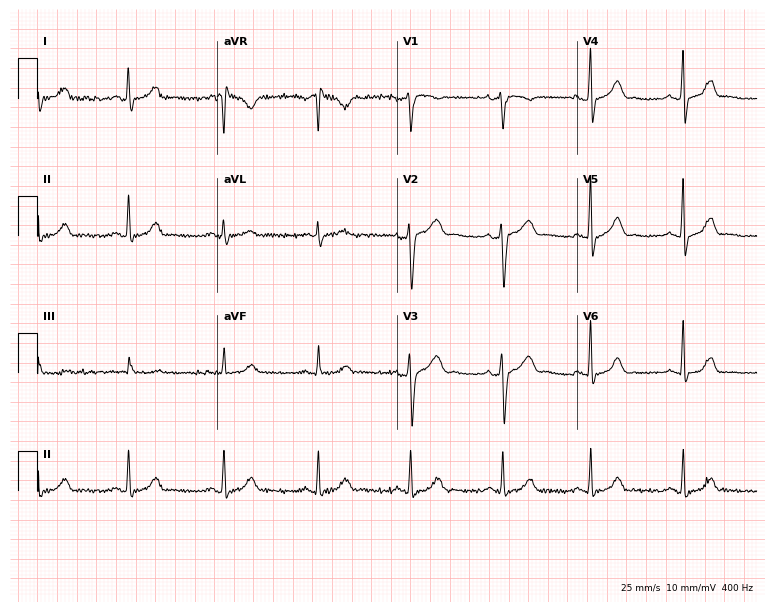
ECG (7.3-second recording at 400 Hz) — a 47-year-old woman. Screened for six findings — first-degree AV block, right bundle branch block (RBBB), left bundle branch block (LBBB), sinus bradycardia, atrial fibrillation (AF), sinus tachycardia — none is recorded. Findings outside these six are not listed.